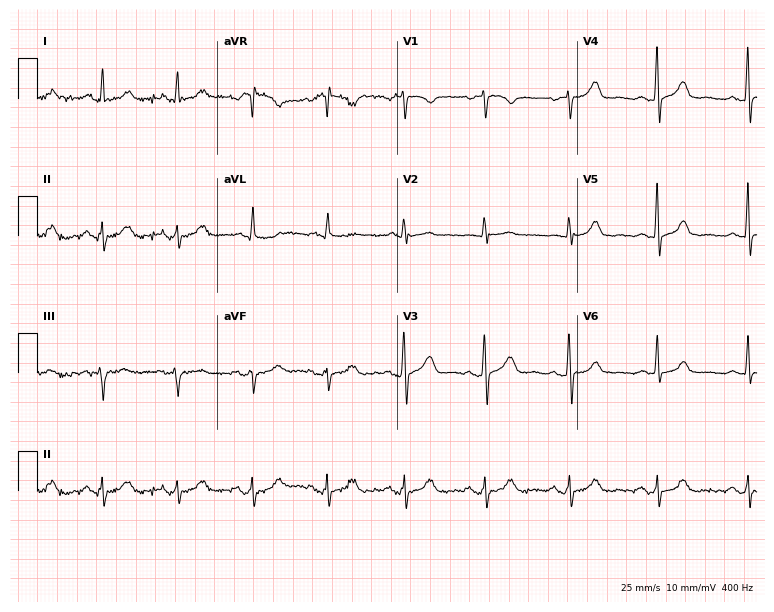
Resting 12-lead electrocardiogram. Patient: a woman, 61 years old. Read as a normal ECG.